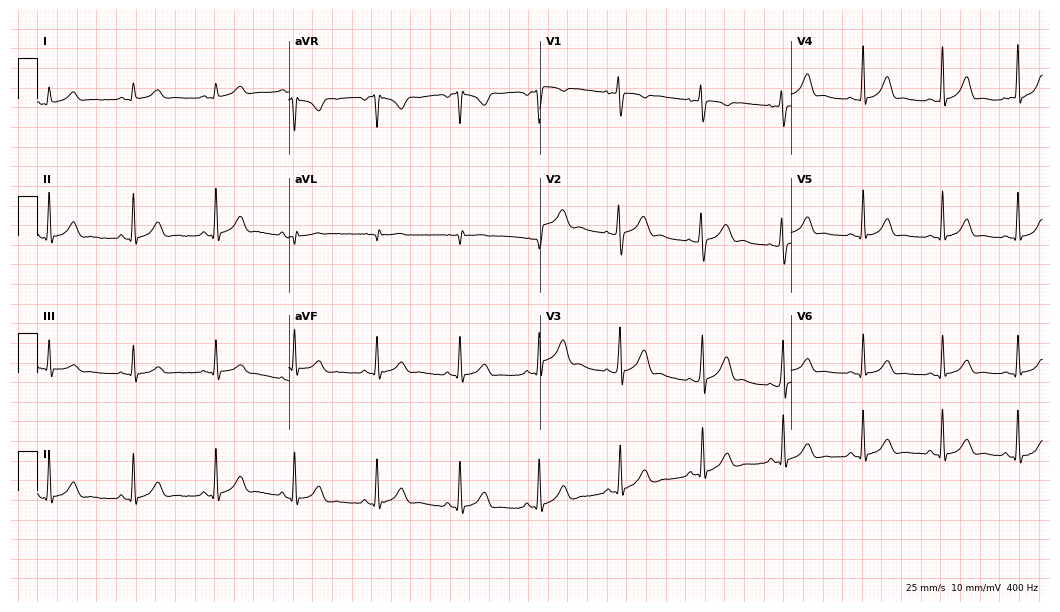
12-lead ECG from a 20-year-old female (10.2-second recording at 400 Hz). Recorded interpretation: within normal limits.